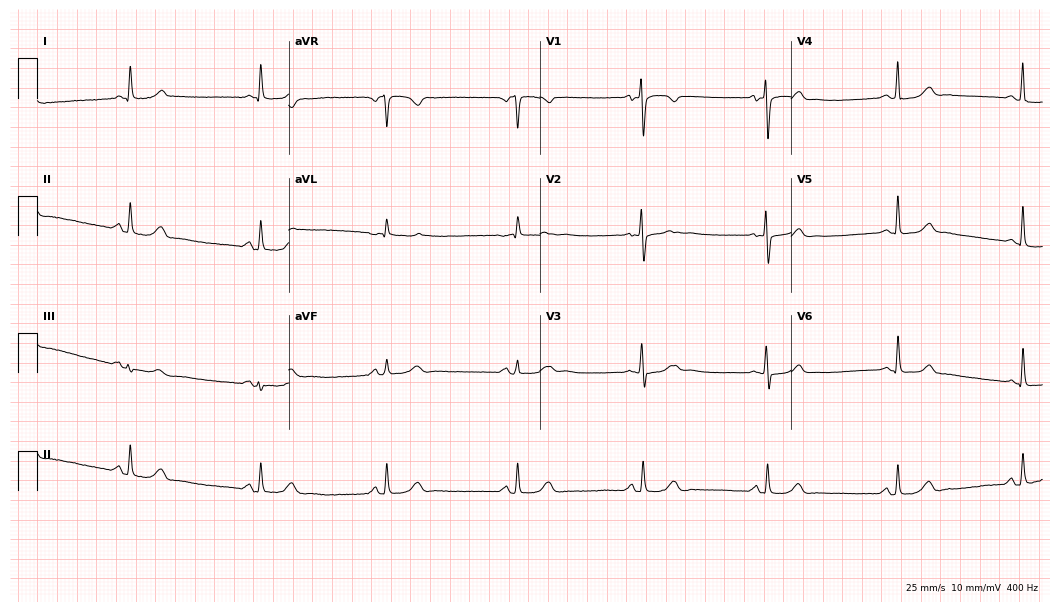
ECG — an 80-year-old woman. Findings include sinus bradycardia (a sinus rate of 50 beats per minute or less).